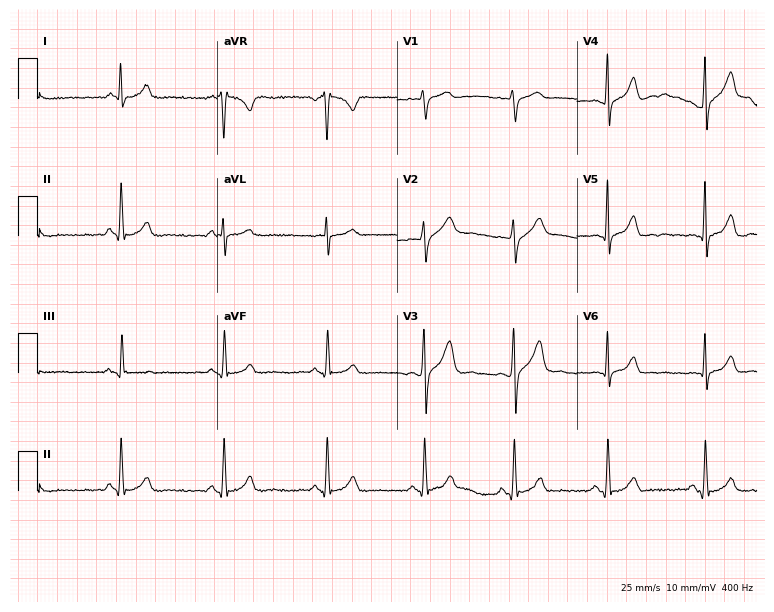
Standard 12-lead ECG recorded from a 27-year-old male patient. Read as a normal ECG.